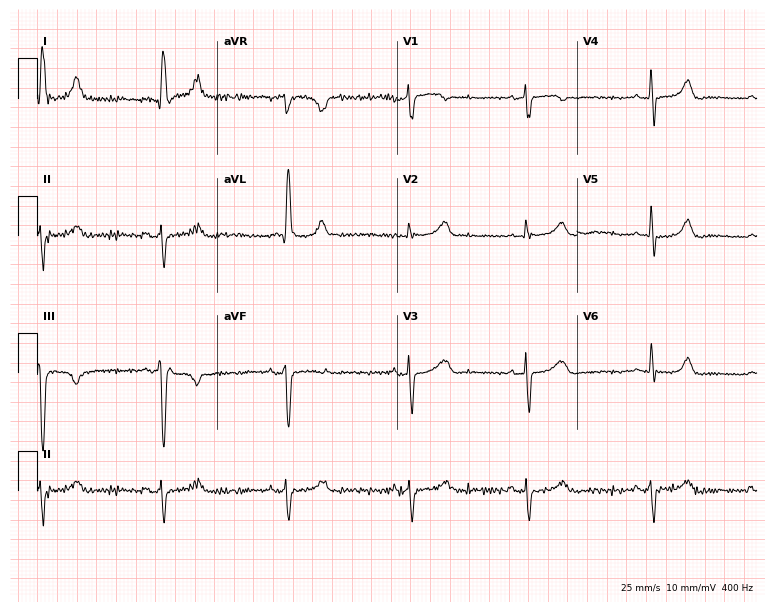
12-lead ECG (7.3-second recording at 400 Hz) from a female, 77 years old. Findings include sinus bradycardia (a sinus rate of 50 beats per minute or less).